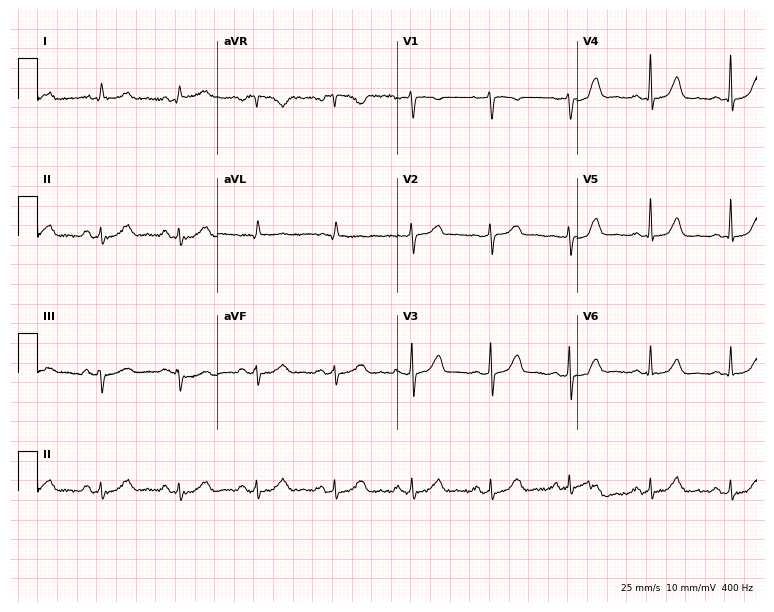
Standard 12-lead ECG recorded from a 45-year-old woman. None of these six findings is recorded: first-degree AV block, right bundle branch block, left bundle branch block, sinus bradycardia, atrial fibrillation, sinus tachycardia.